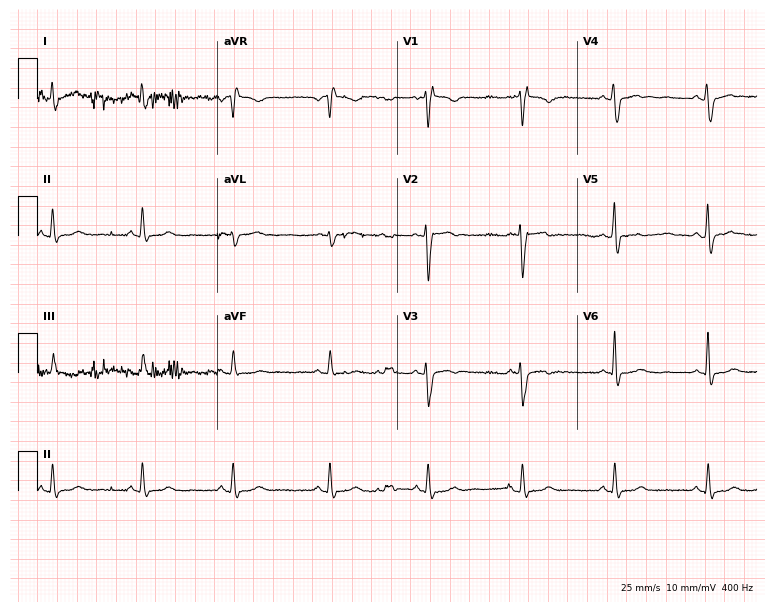
Resting 12-lead electrocardiogram. Patient: a female, 31 years old. Read as a normal ECG.